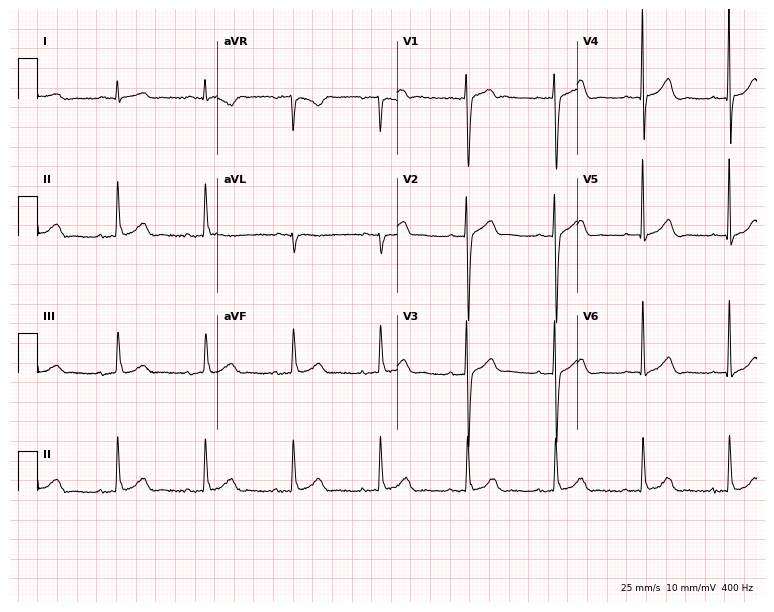
12-lead ECG from a man, 63 years old. Screened for six findings — first-degree AV block, right bundle branch block, left bundle branch block, sinus bradycardia, atrial fibrillation, sinus tachycardia — none is recorded. Other findings, if any, are not listed.